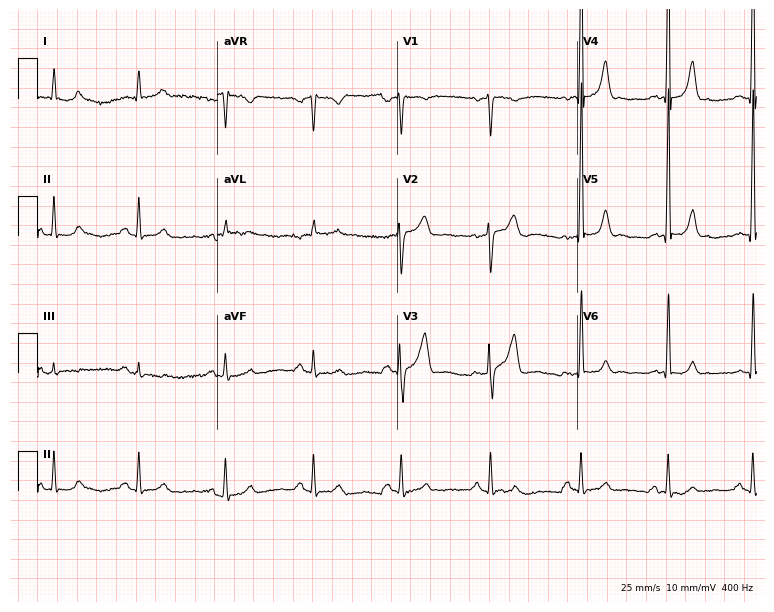
Electrocardiogram, a 44-year-old man. Overall reading on record: normal ECG.